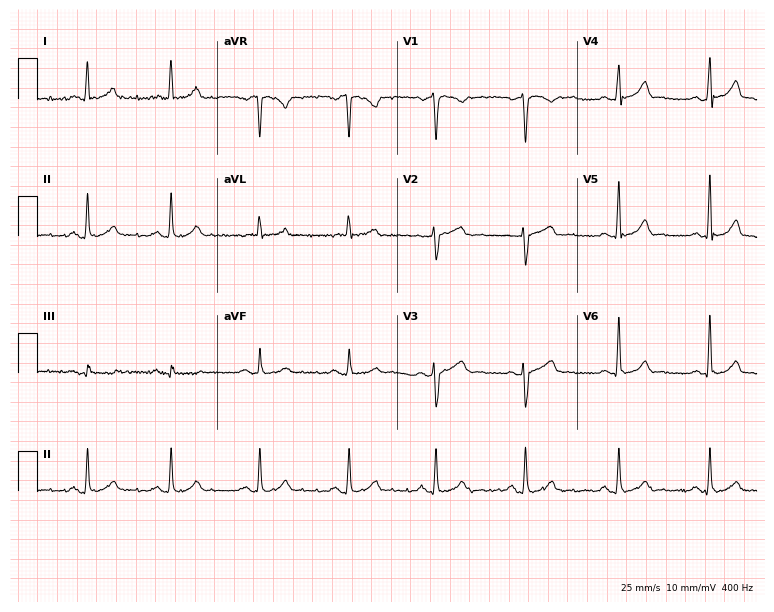
Resting 12-lead electrocardiogram (7.3-second recording at 400 Hz). Patient: a 32-year-old female. Read as a normal ECG.